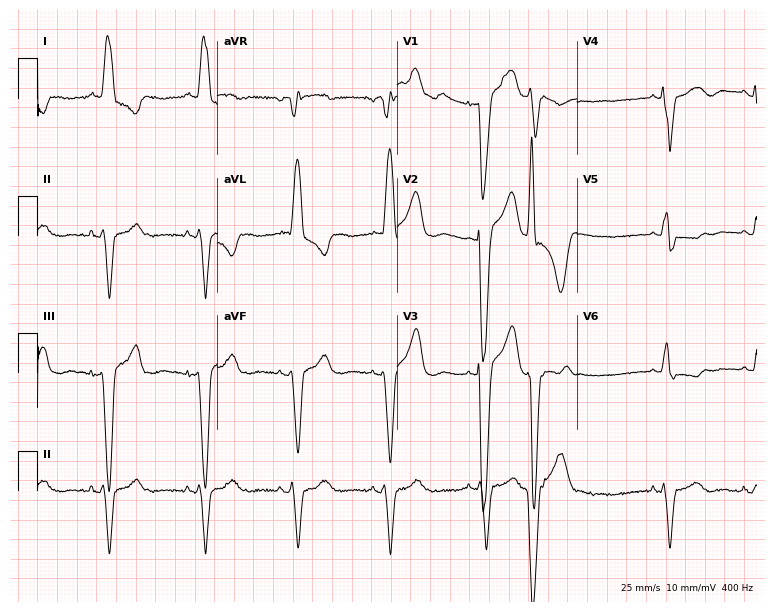
Standard 12-lead ECG recorded from a woman, 75 years old. The tracing shows left bundle branch block.